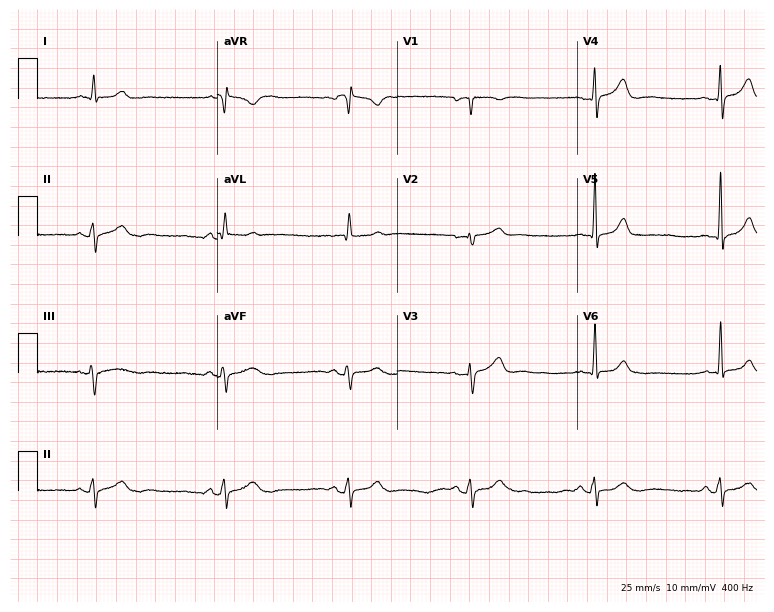
Electrocardiogram, a male patient, 59 years old. Interpretation includes sinus bradycardia (a sinus rate of 50 beats per minute or less).